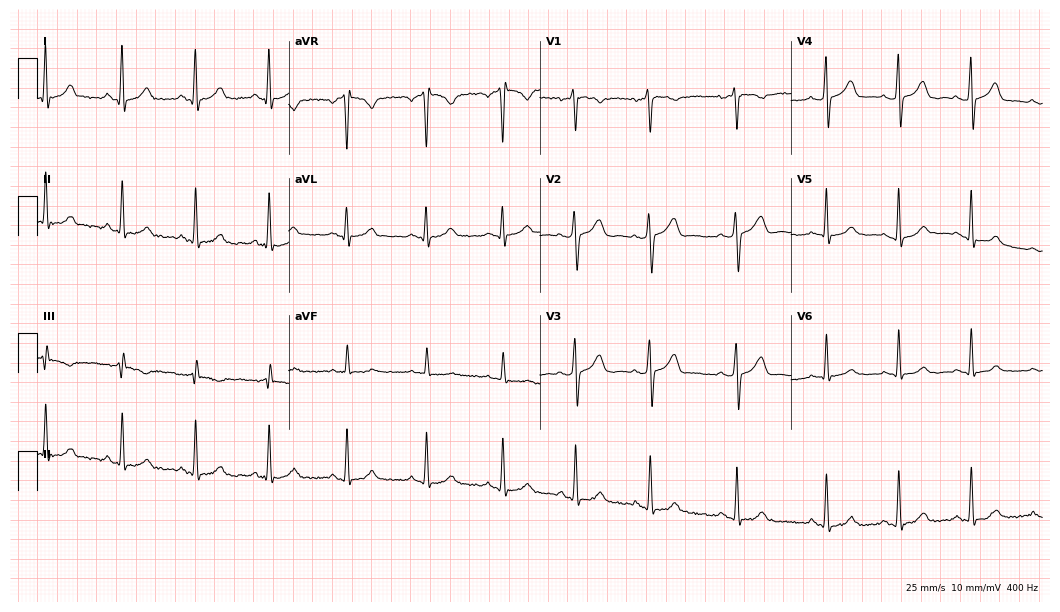
ECG (10.2-second recording at 400 Hz) — a female, 25 years old. Labelled as a normal ECG.